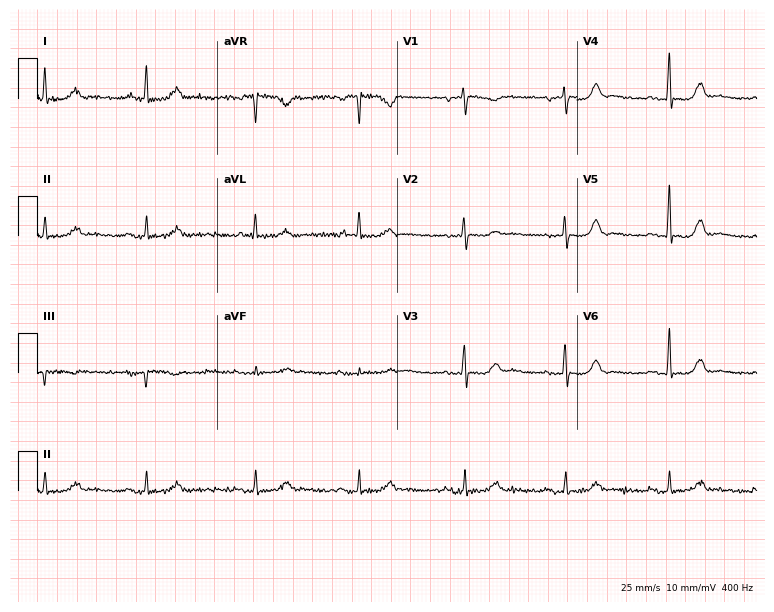
12-lead ECG (7.3-second recording at 400 Hz) from a 71-year-old female patient. Labelled as a normal ECG.